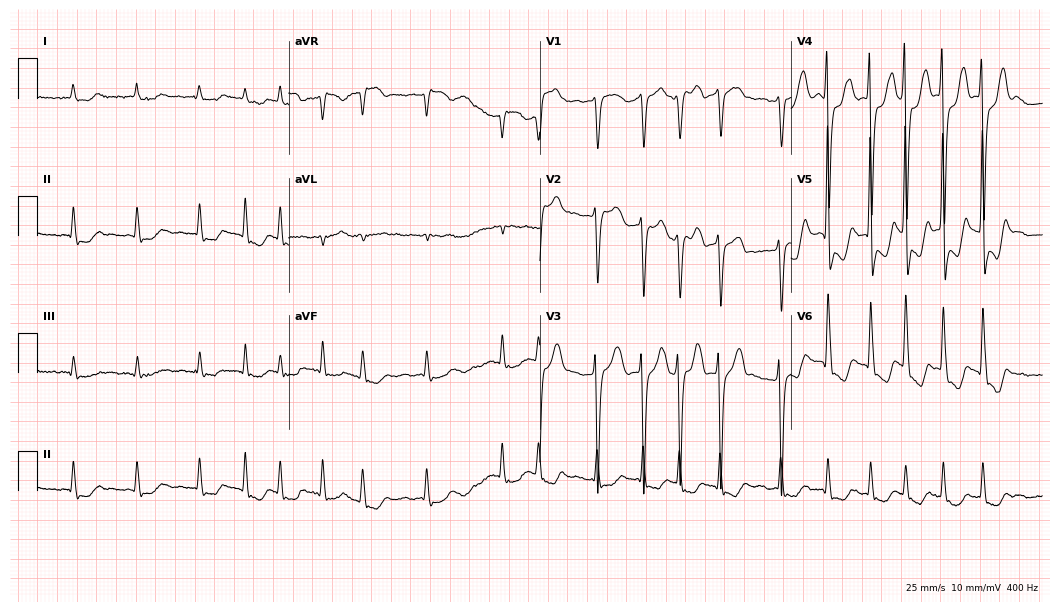
Standard 12-lead ECG recorded from an 83-year-old female patient (10.2-second recording at 400 Hz). None of these six findings is recorded: first-degree AV block, right bundle branch block (RBBB), left bundle branch block (LBBB), sinus bradycardia, atrial fibrillation (AF), sinus tachycardia. Only these six findings were labelled.